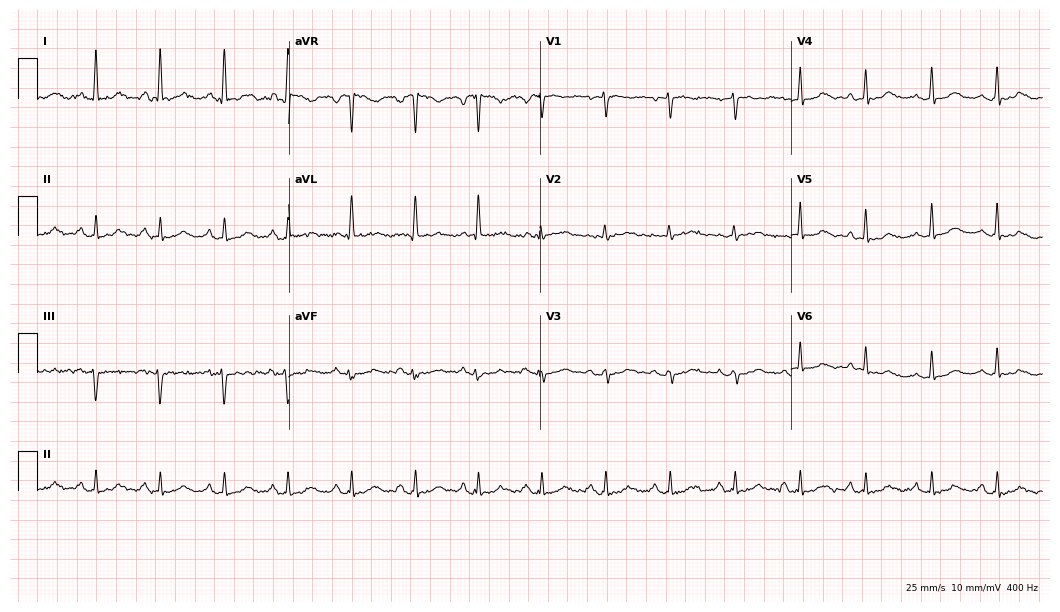
Resting 12-lead electrocardiogram. Patient: a 56-year-old woman. Read as a normal ECG.